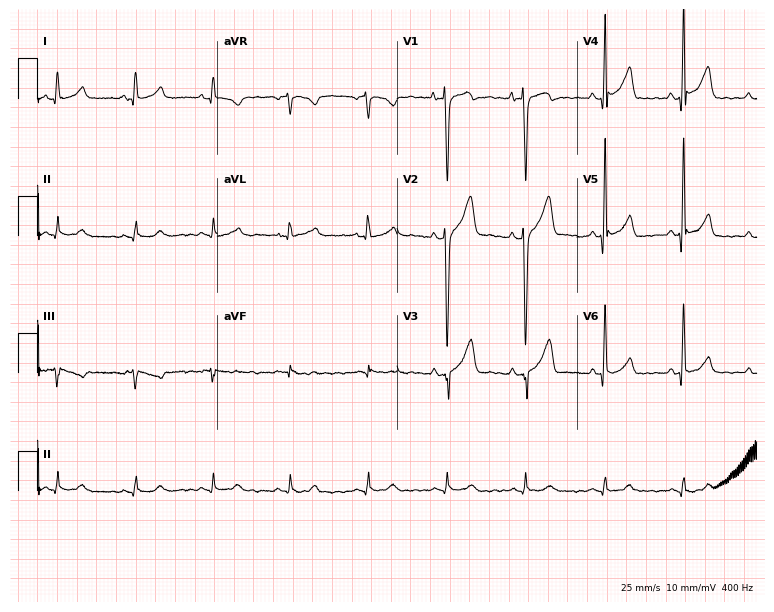
Standard 12-lead ECG recorded from a man, 24 years old. None of these six findings is recorded: first-degree AV block, right bundle branch block, left bundle branch block, sinus bradycardia, atrial fibrillation, sinus tachycardia. Other findings, if any, are not listed.